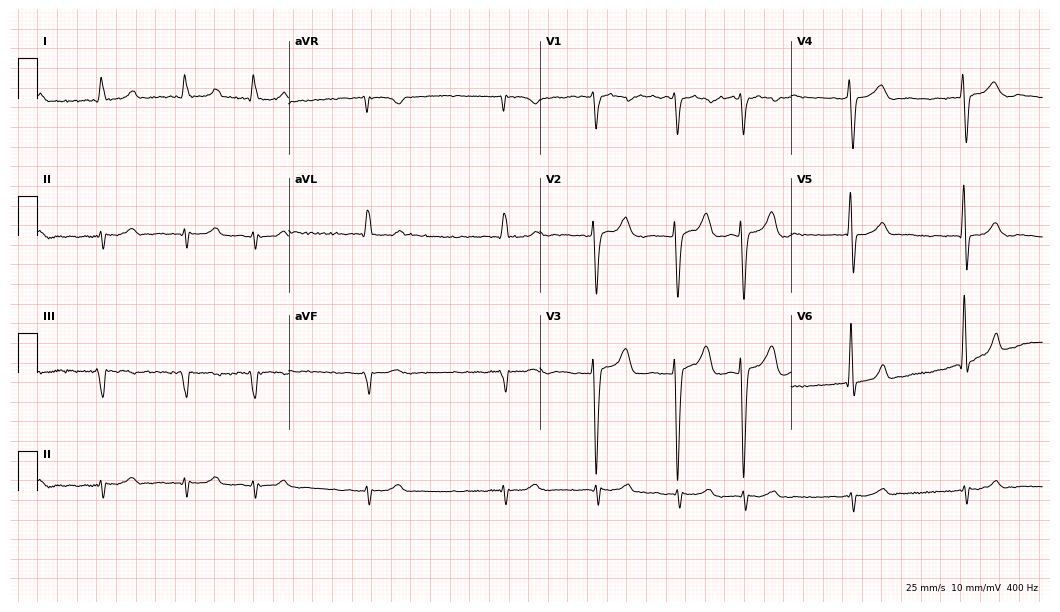
12-lead ECG from an 84-year-old male. Shows atrial fibrillation.